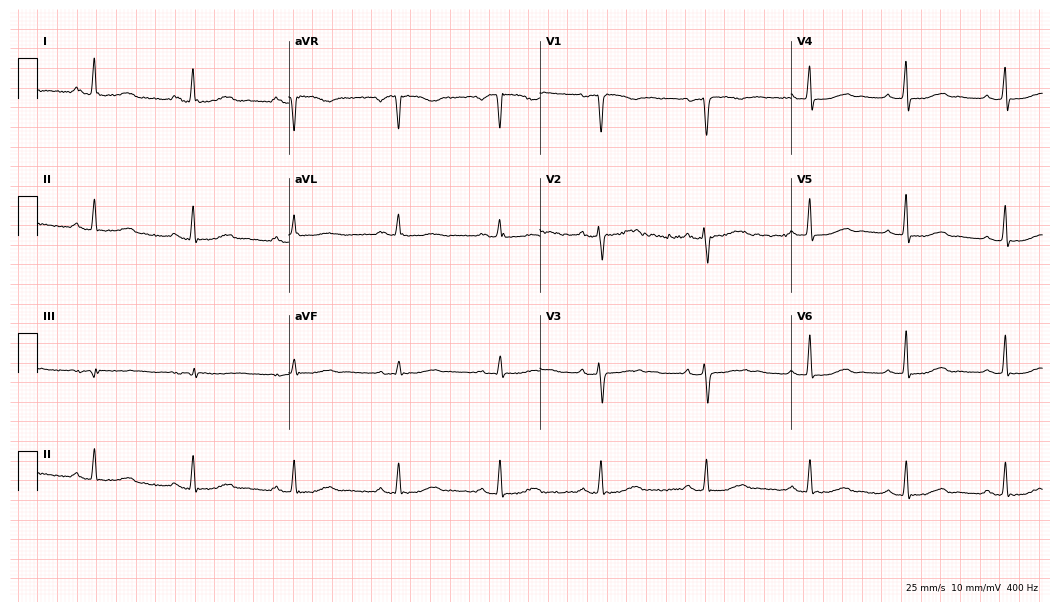
Electrocardiogram, a female, 46 years old. Of the six screened findings (first-degree AV block, right bundle branch block (RBBB), left bundle branch block (LBBB), sinus bradycardia, atrial fibrillation (AF), sinus tachycardia), none is recorded.